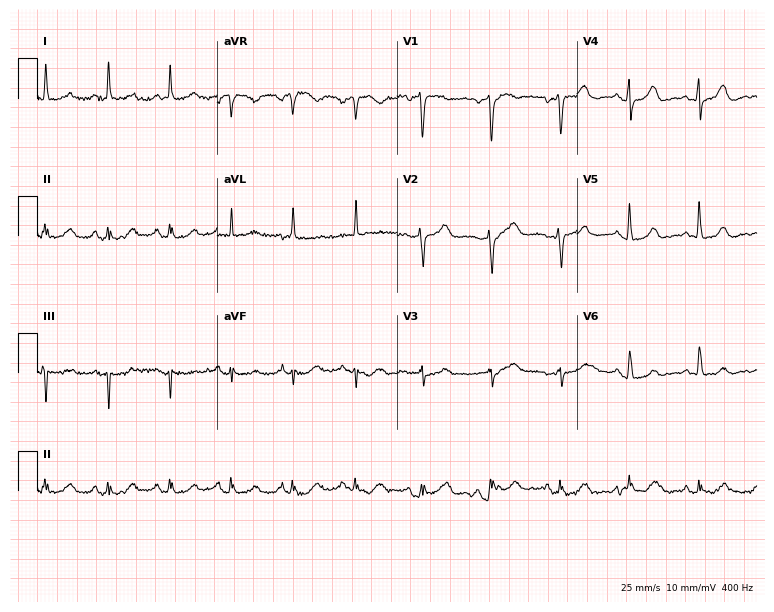
Resting 12-lead electrocardiogram (7.3-second recording at 400 Hz). Patient: a 78-year-old woman. Read as a normal ECG.